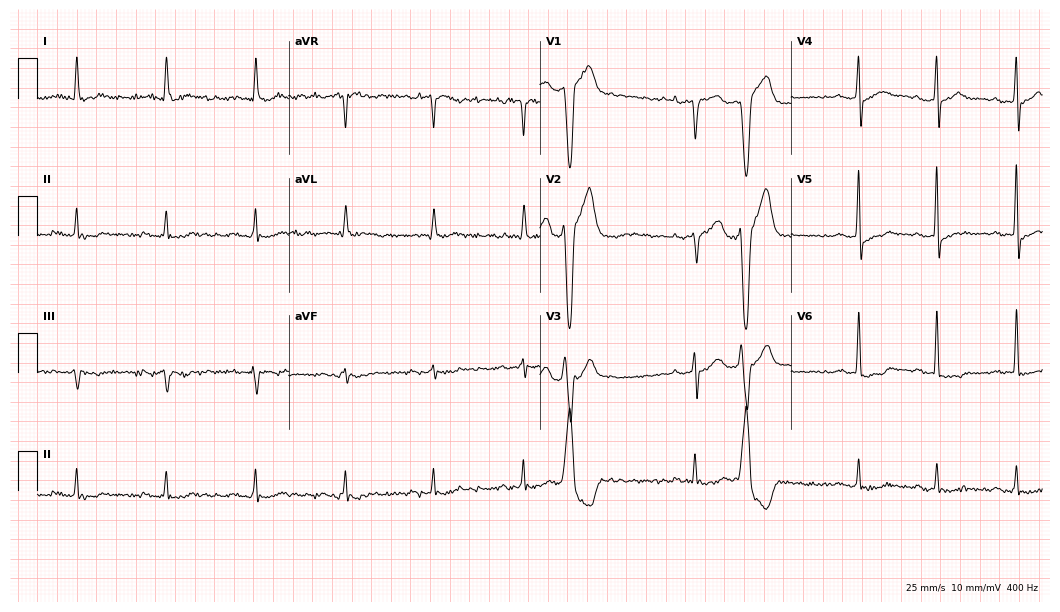
Resting 12-lead electrocardiogram. Patient: an 81-year-old male. The tracing shows first-degree AV block.